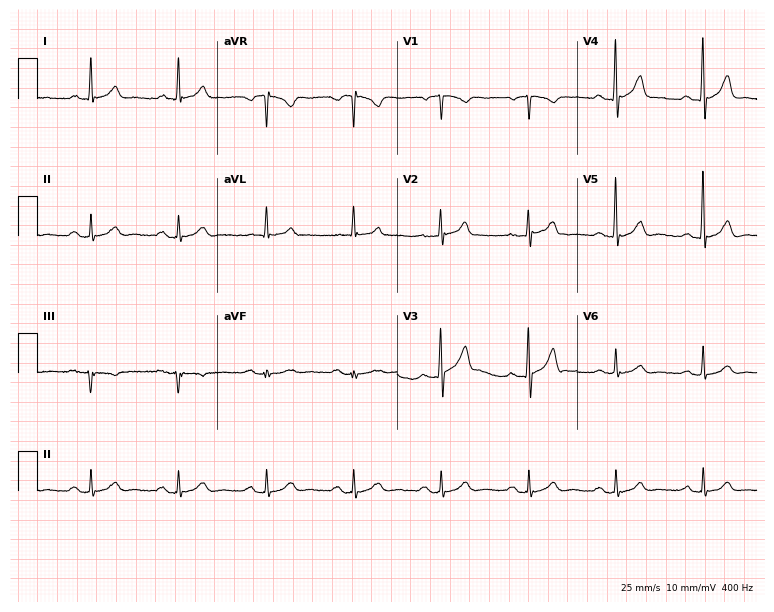
Standard 12-lead ECG recorded from a male patient, 73 years old (7.3-second recording at 400 Hz). None of these six findings is recorded: first-degree AV block, right bundle branch block, left bundle branch block, sinus bradycardia, atrial fibrillation, sinus tachycardia. Only these six findings were labelled.